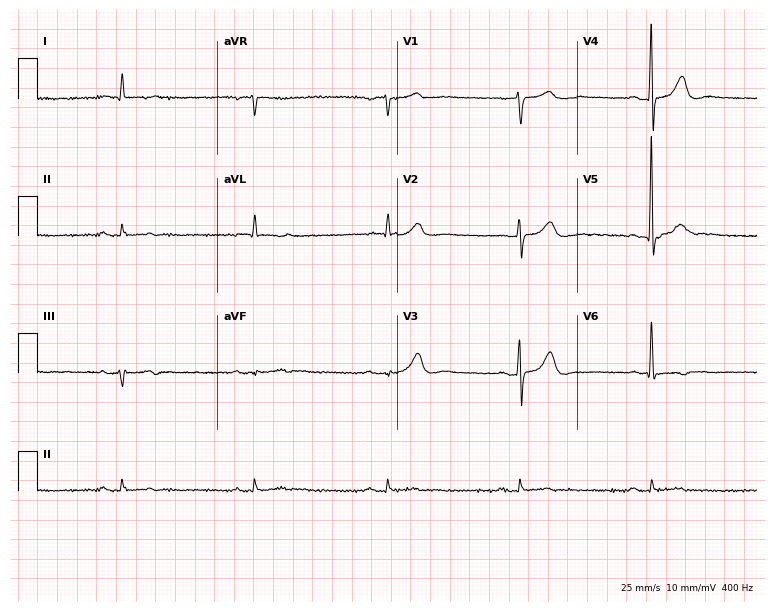
Standard 12-lead ECG recorded from a male, 84 years old (7.3-second recording at 400 Hz). The tracing shows sinus bradycardia (a sinus rate of 50 beats per minute or less).